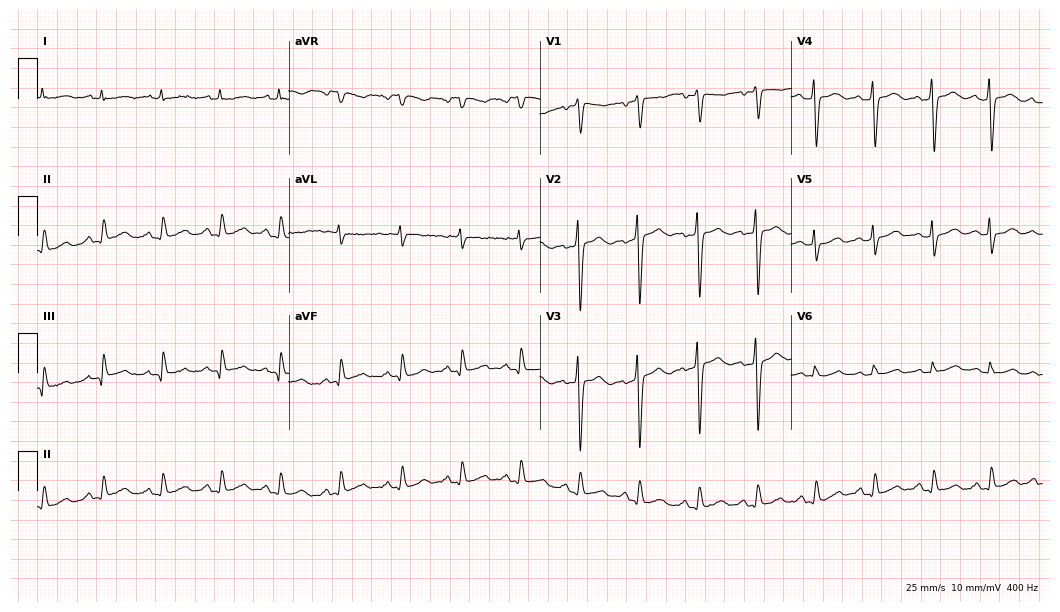
12-lead ECG (10.2-second recording at 400 Hz) from a 44-year-old woman. Labelled as a normal ECG.